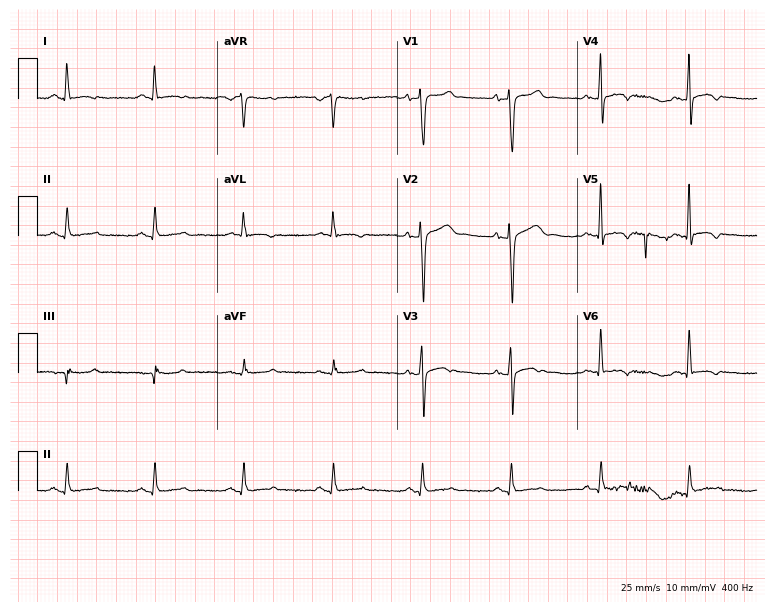
ECG — a 49-year-old male patient. Screened for six findings — first-degree AV block, right bundle branch block, left bundle branch block, sinus bradycardia, atrial fibrillation, sinus tachycardia — none is recorded.